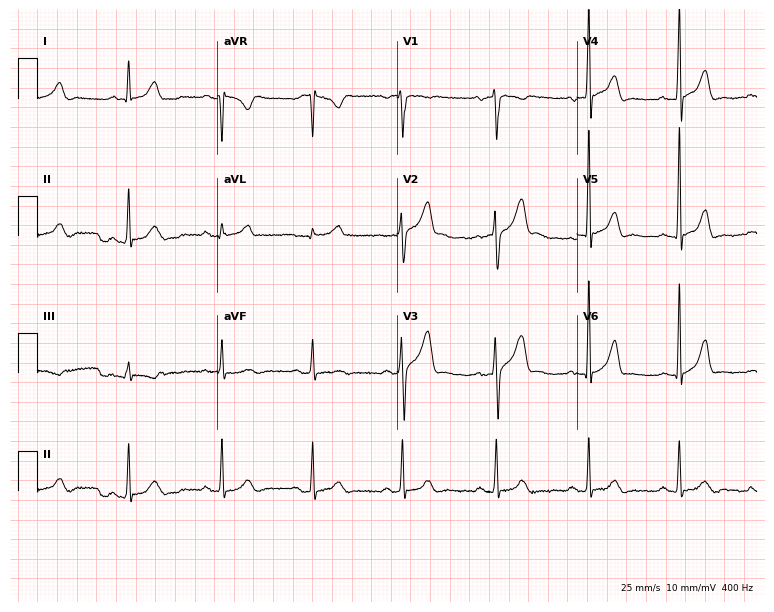
Standard 12-lead ECG recorded from a 37-year-old male (7.3-second recording at 400 Hz). Read as a normal ECG.